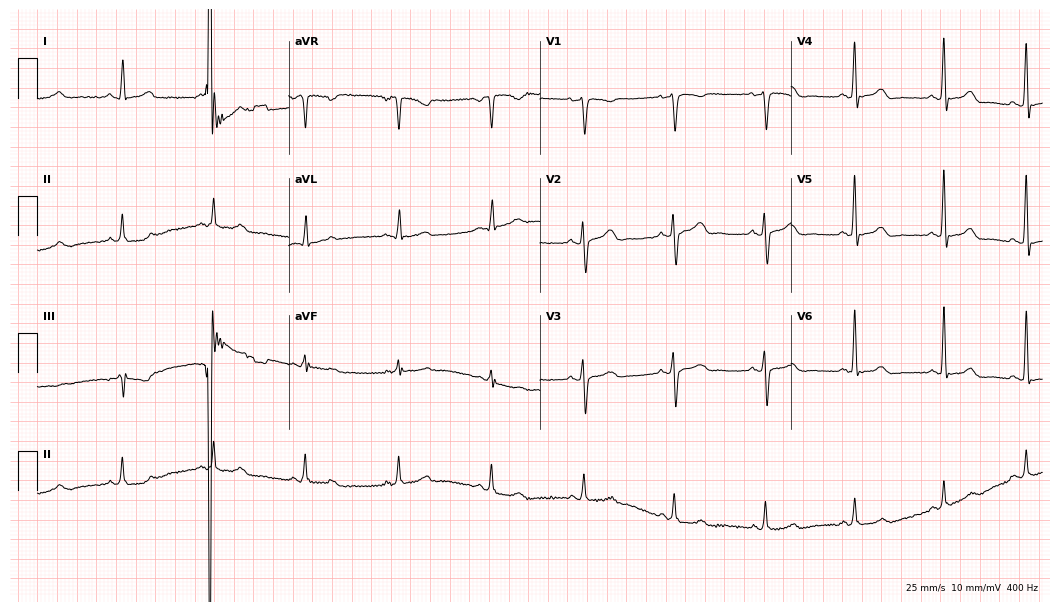
12-lead ECG (10.2-second recording at 400 Hz) from a female patient, 49 years old. Labelled as a normal ECG.